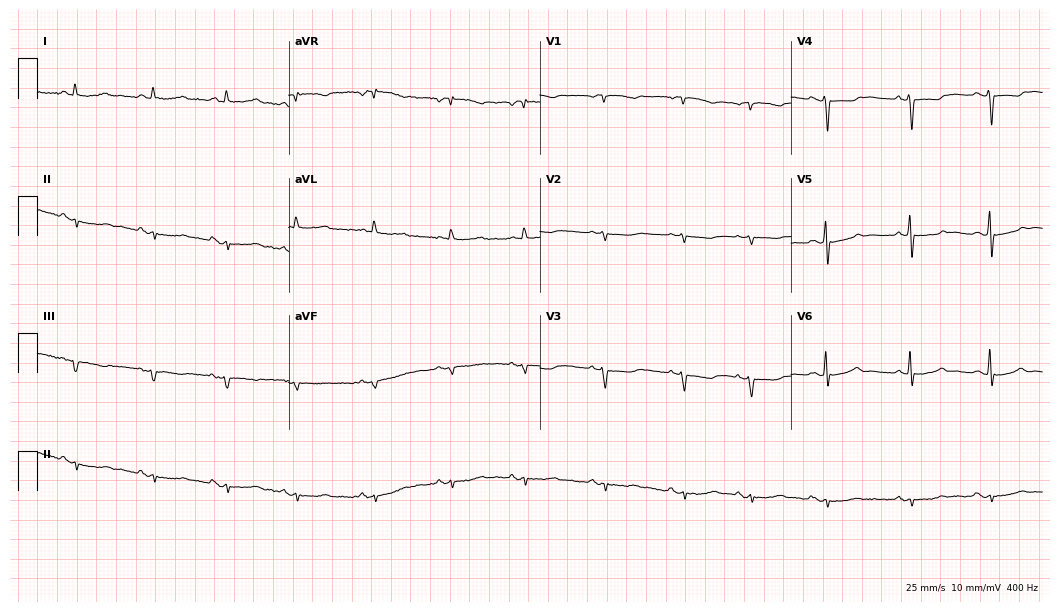
12-lead ECG from a 78-year-old woman. Screened for six findings — first-degree AV block, right bundle branch block, left bundle branch block, sinus bradycardia, atrial fibrillation, sinus tachycardia — none is recorded.